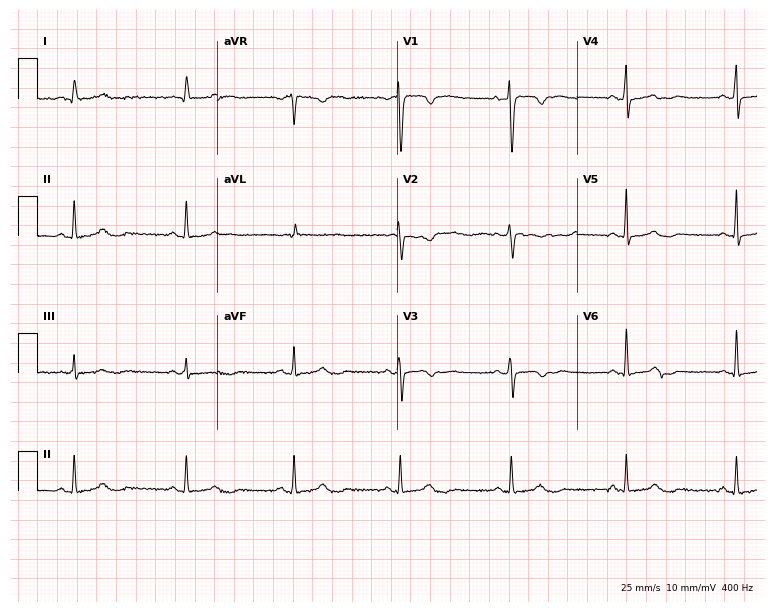
Resting 12-lead electrocardiogram (7.3-second recording at 400 Hz). Patient: a female, 53 years old. Read as a normal ECG.